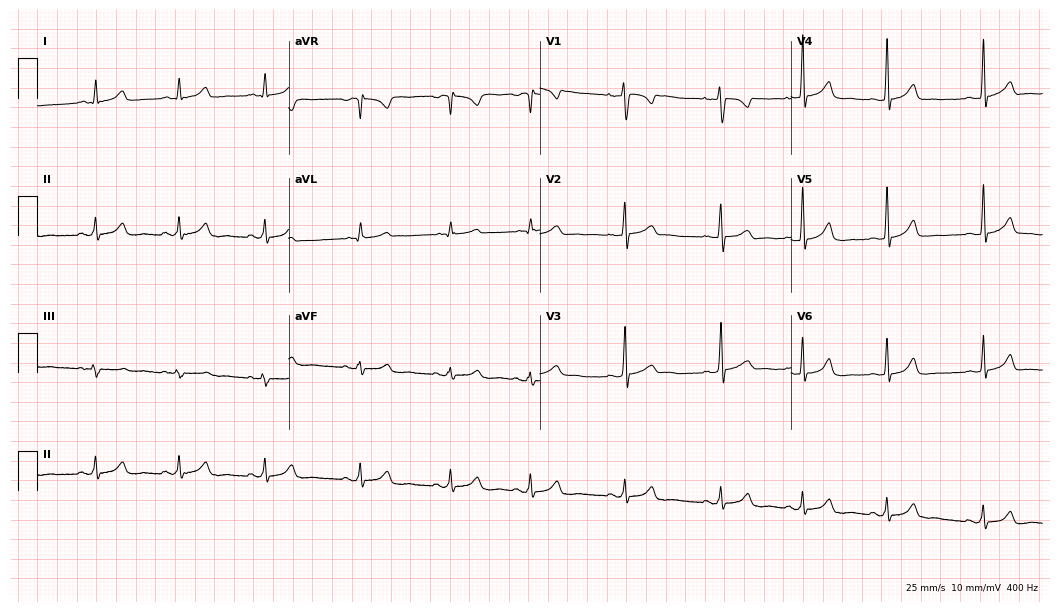
12-lead ECG (10.2-second recording at 400 Hz) from a female patient, 23 years old. Screened for six findings — first-degree AV block, right bundle branch block, left bundle branch block, sinus bradycardia, atrial fibrillation, sinus tachycardia — none is recorded. Other findings, if any, are not listed.